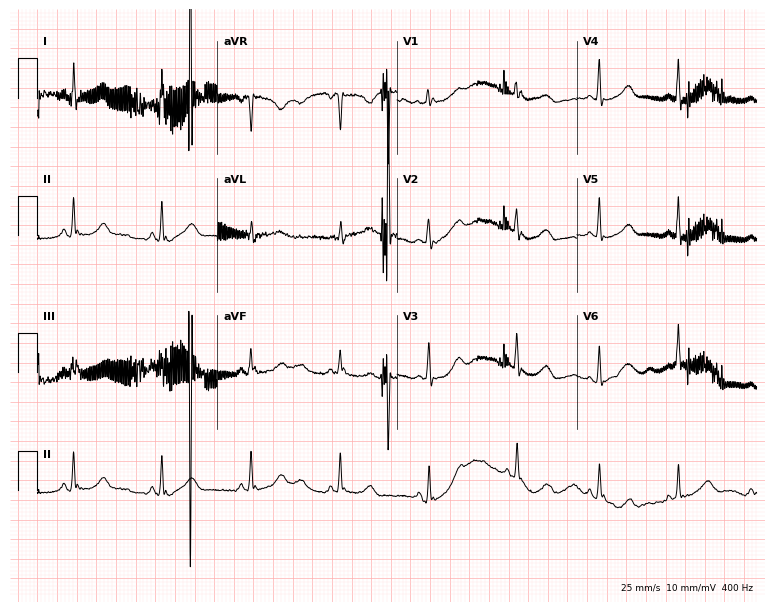
ECG (7.3-second recording at 400 Hz) — a female patient, 53 years old. Screened for six findings — first-degree AV block, right bundle branch block (RBBB), left bundle branch block (LBBB), sinus bradycardia, atrial fibrillation (AF), sinus tachycardia — none is recorded.